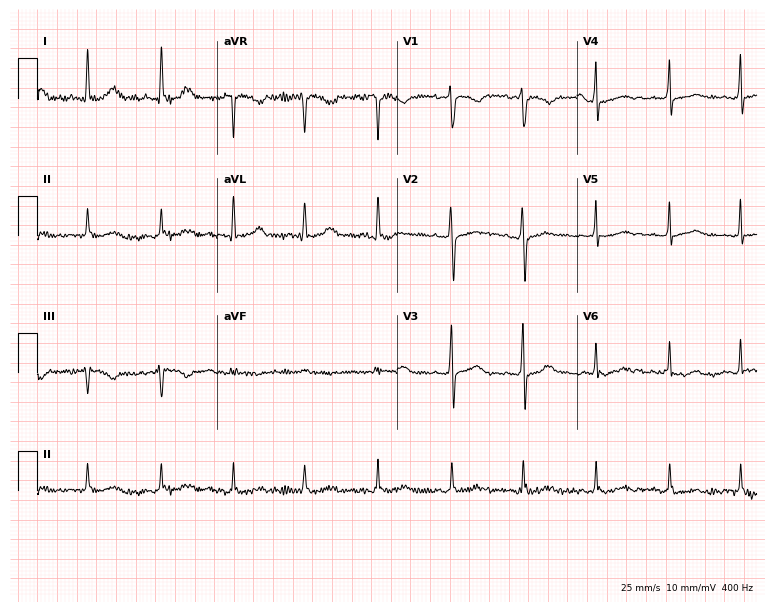
12-lead ECG (7.3-second recording at 400 Hz) from a 33-year-old female patient. Labelled as a normal ECG.